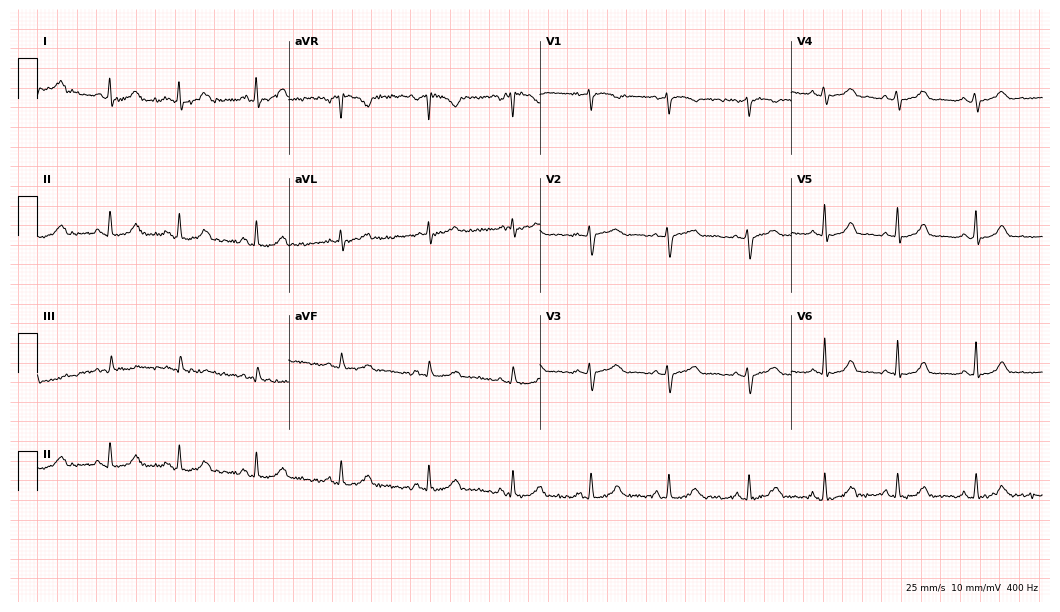
12-lead ECG from a woman, 39 years old. Recorded interpretation: within normal limits.